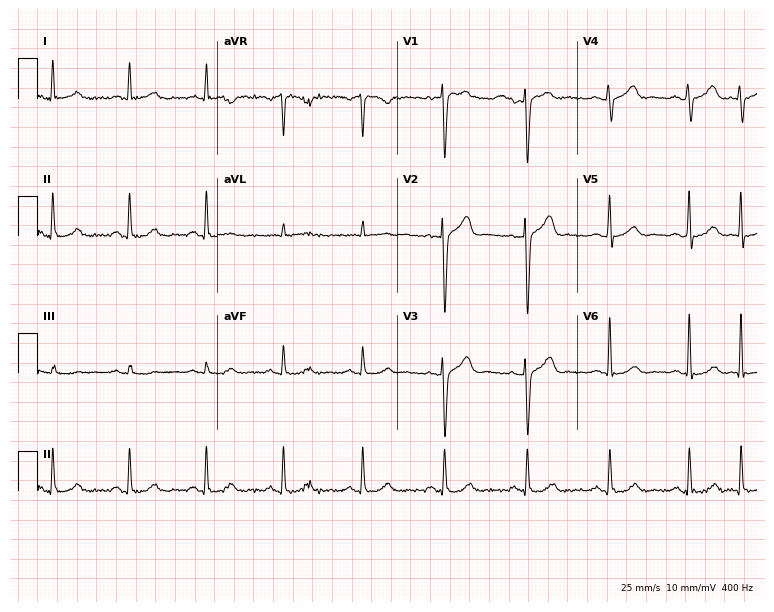
Standard 12-lead ECG recorded from a 49-year-old male patient. None of these six findings is recorded: first-degree AV block, right bundle branch block, left bundle branch block, sinus bradycardia, atrial fibrillation, sinus tachycardia.